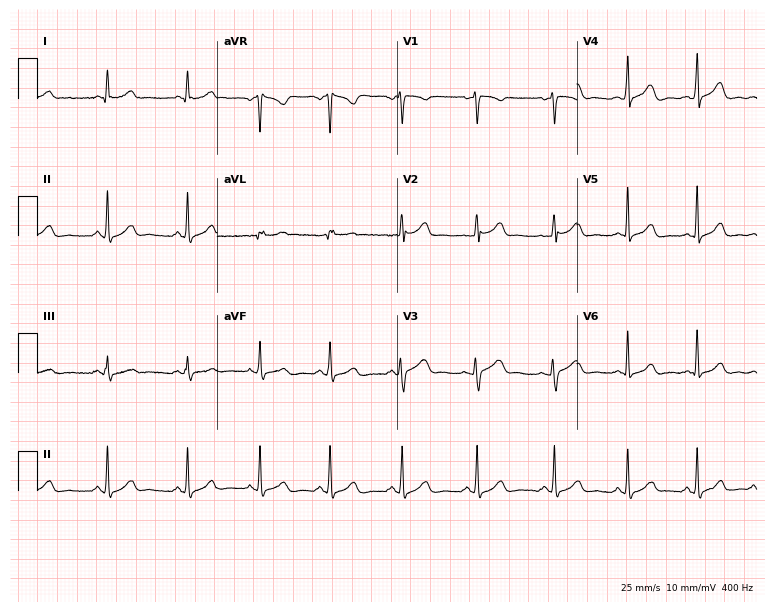
Standard 12-lead ECG recorded from a female, 49 years old (7.3-second recording at 400 Hz). Read as a normal ECG.